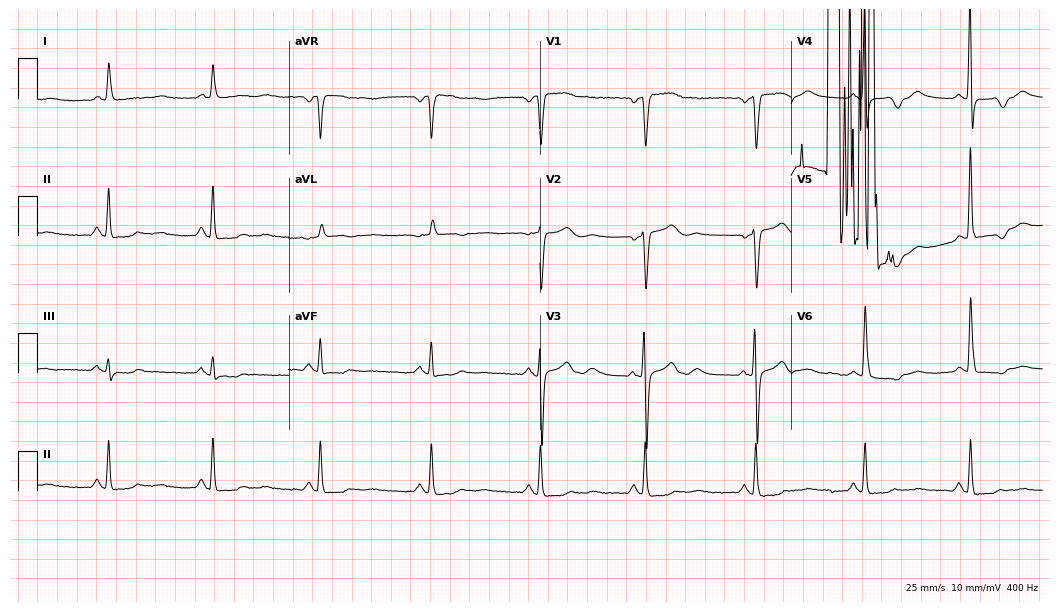
Standard 12-lead ECG recorded from a female patient, 85 years old (10.2-second recording at 400 Hz). None of these six findings is recorded: first-degree AV block, right bundle branch block, left bundle branch block, sinus bradycardia, atrial fibrillation, sinus tachycardia. Only these six findings were labelled.